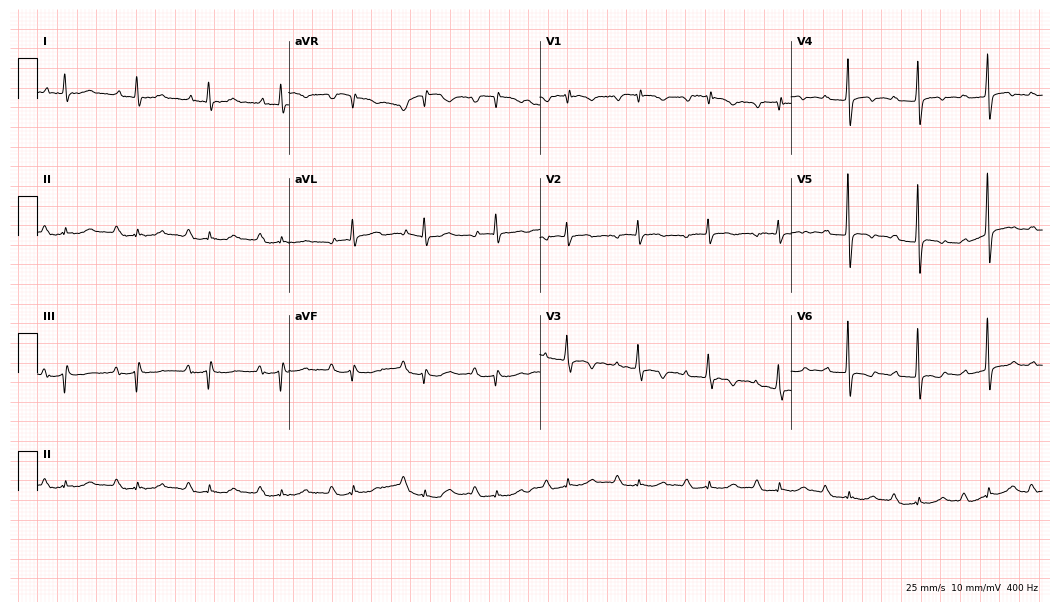
12-lead ECG from a male, 77 years old. No first-degree AV block, right bundle branch block, left bundle branch block, sinus bradycardia, atrial fibrillation or sinus tachycardia recorded for this tracing.